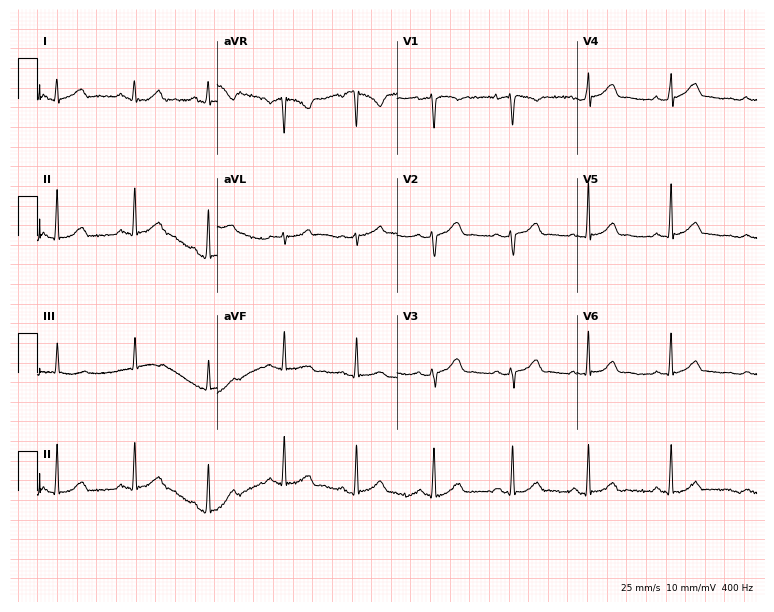
12-lead ECG from a female patient, 36 years old (7.3-second recording at 400 Hz). Recorded interpretation: within normal limits.